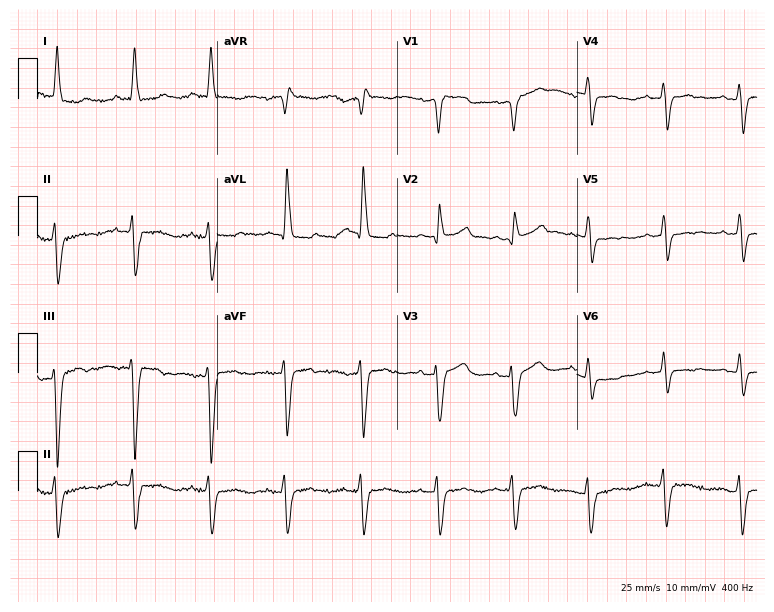
12-lead ECG (7.3-second recording at 400 Hz) from a 70-year-old female patient. Screened for six findings — first-degree AV block, right bundle branch block, left bundle branch block, sinus bradycardia, atrial fibrillation, sinus tachycardia — none is recorded. Findings outside these six are not listed.